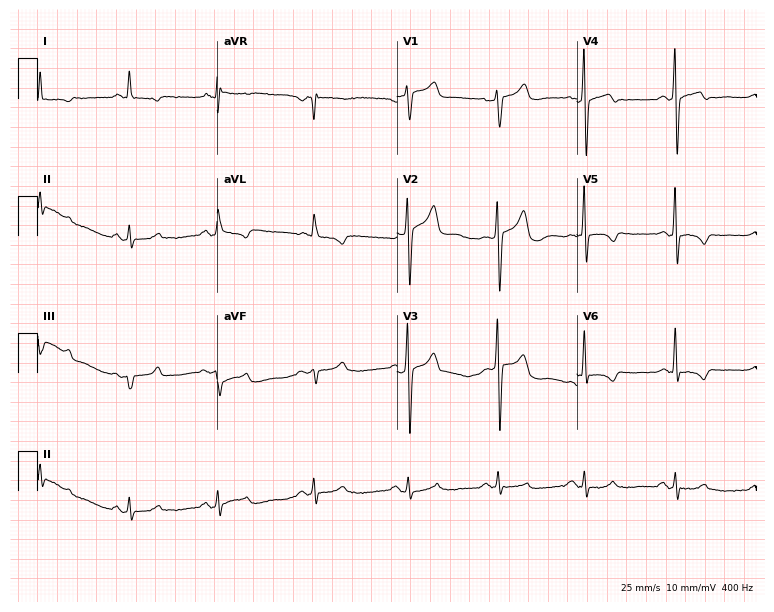
12-lead ECG from a 55-year-old male. Screened for six findings — first-degree AV block, right bundle branch block, left bundle branch block, sinus bradycardia, atrial fibrillation, sinus tachycardia — none is recorded.